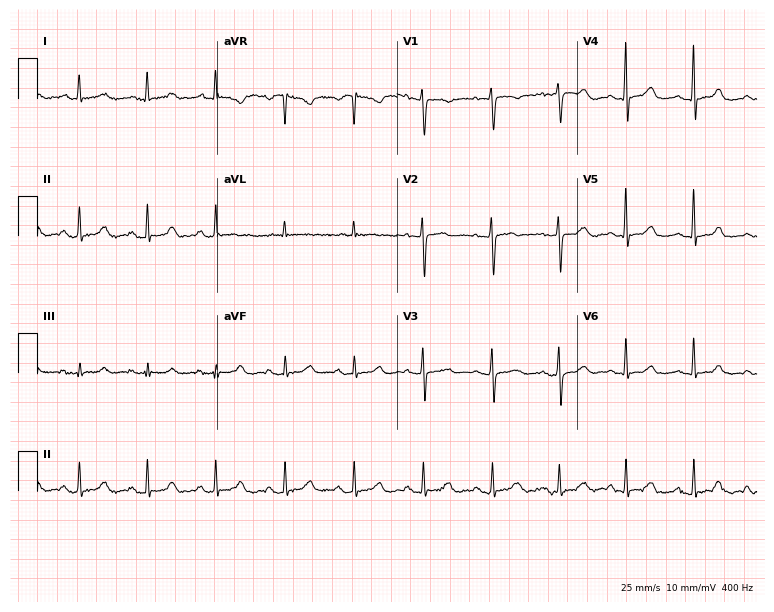
Electrocardiogram, a woman, 54 years old. Overall reading on record: normal ECG.